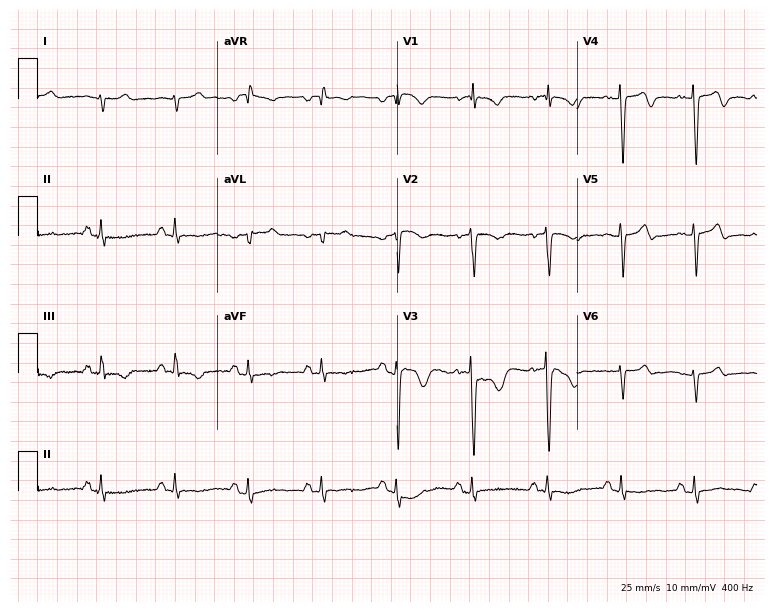
Electrocardiogram, a male patient, 79 years old. Of the six screened findings (first-degree AV block, right bundle branch block, left bundle branch block, sinus bradycardia, atrial fibrillation, sinus tachycardia), none is recorded.